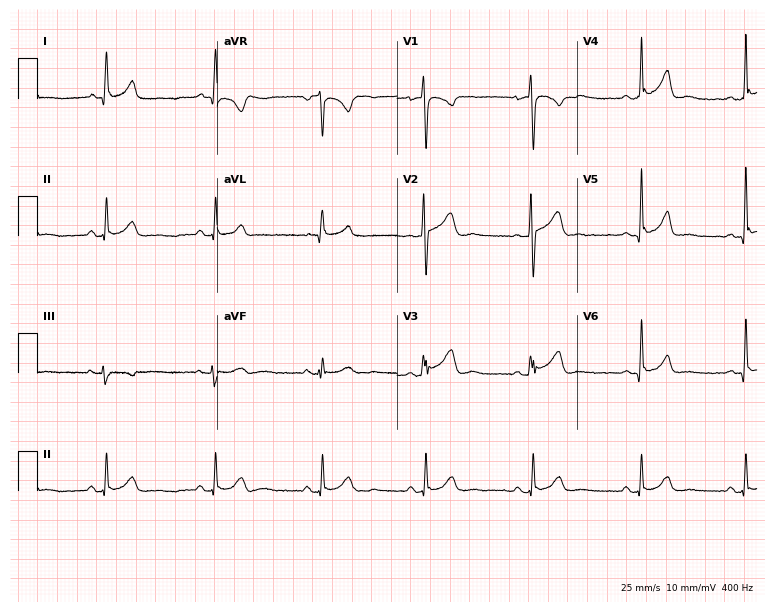
12-lead ECG from a male, 33 years old (7.3-second recording at 400 Hz). Recorded interpretation: within normal limits.